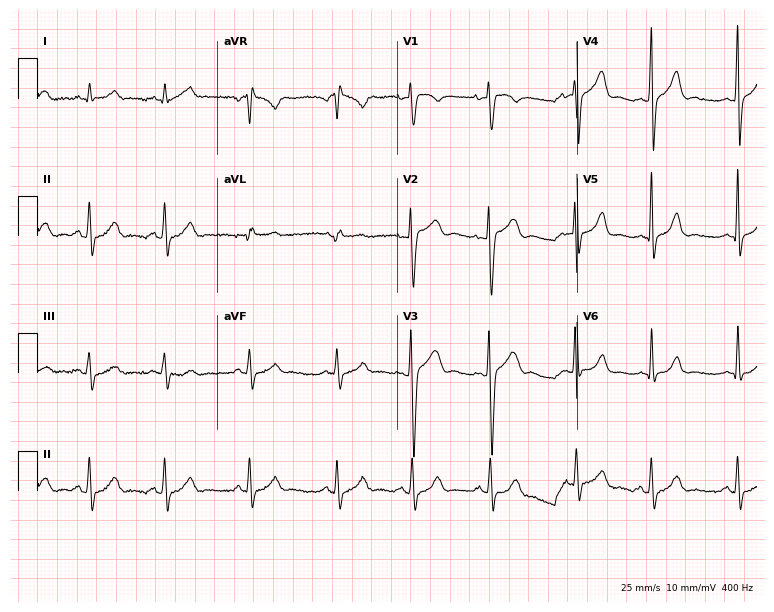
Electrocardiogram (7.3-second recording at 400 Hz), a 33-year-old female. Of the six screened findings (first-degree AV block, right bundle branch block, left bundle branch block, sinus bradycardia, atrial fibrillation, sinus tachycardia), none is recorded.